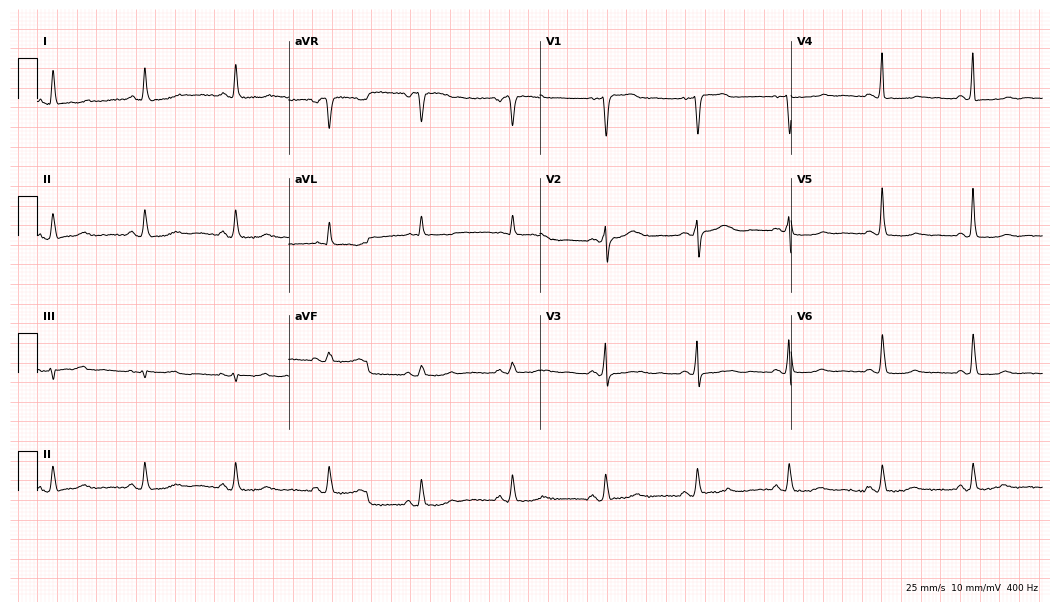
Electrocardiogram, a female, 67 years old. Of the six screened findings (first-degree AV block, right bundle branch block (RBBB), left bundle branch block (LBBB), sinus bradycardia, atrial fibrillation (AF), sinus tachycardia), none is recorded.